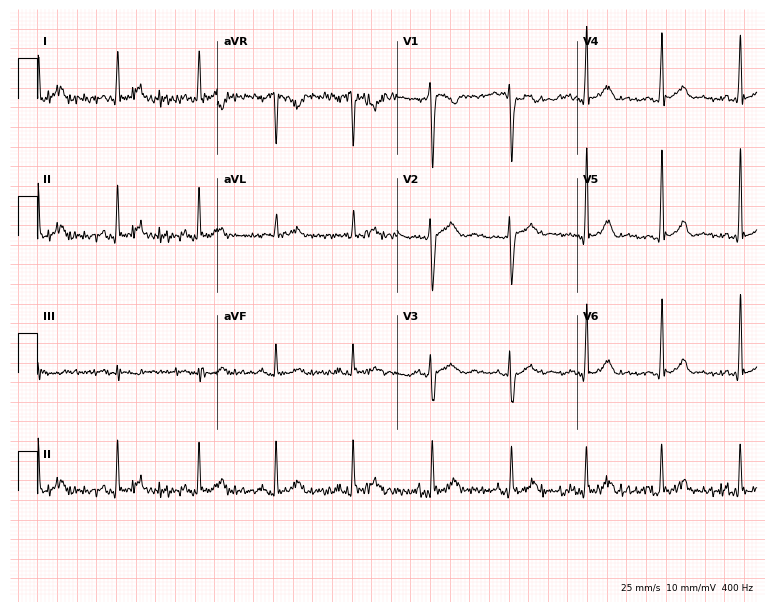
Resting 12-lead electrocardiogram. Patient: a 24-year-old male. None of these six findings is recorded: first-degree AV block, right bundle branch block, left bundle branch block, sinus bradycardia, atrial fibrillation, sinus tachycardia.